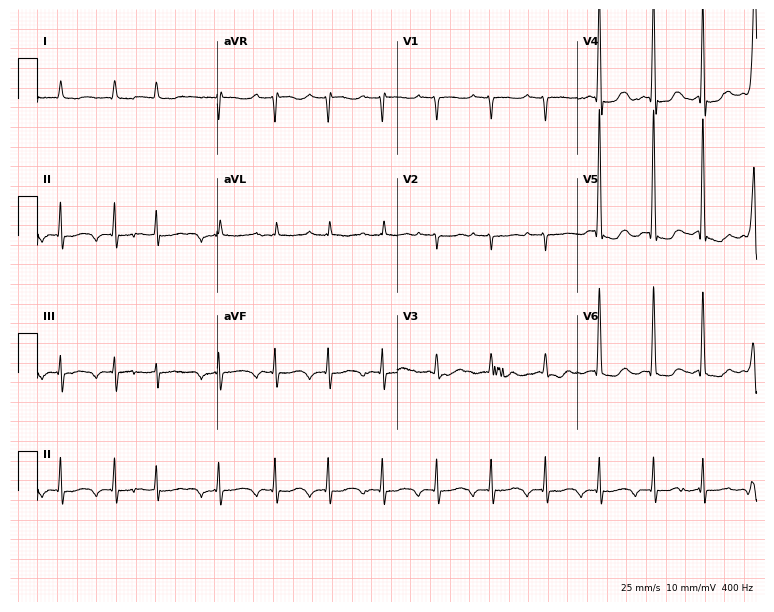
Standard 12-lead ECG recorded from a female, 83 years old (7.3-second recording at 400 Hz). The tracing shows sinus tachycardia (a sinus rate of 100 beats per minute or more).